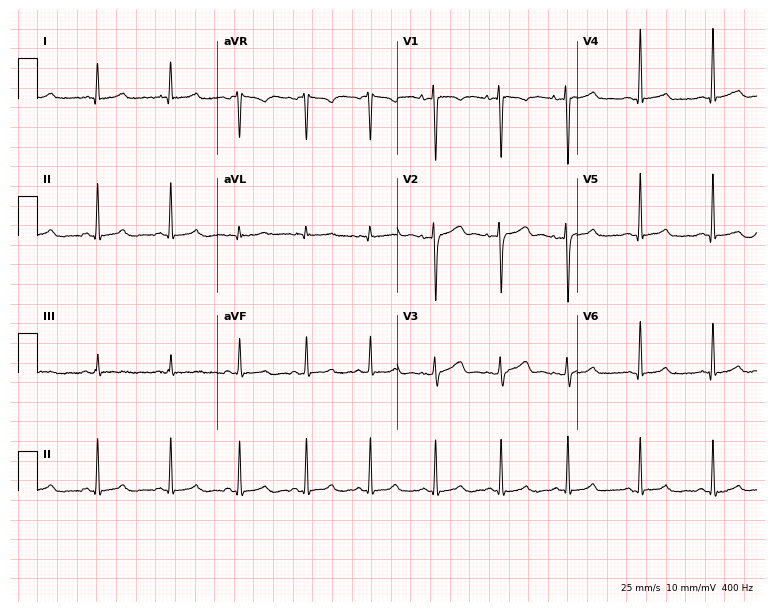
Electrocardiogram (7.3-second recording at 400 Hz), a 22-year-old female. Of the six screened findings (first-degree AV block, right bundle branch block, left bundle branch block, sinus bradycardia, atrial fibrillation, sinus tachycardia), none is recorded. Findings outside these six are not listed.